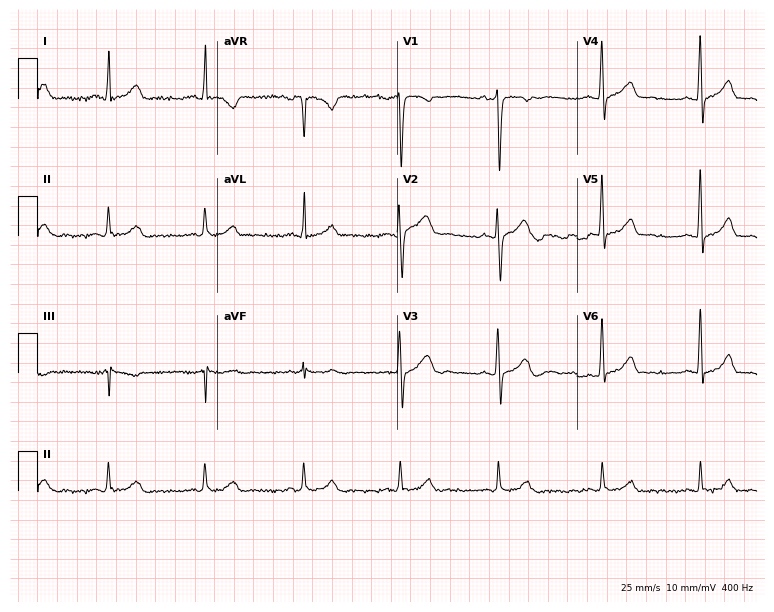
Resting 12-lead electrocardiogram. Patient: a man, 34 years old. Read as a normal ECG.